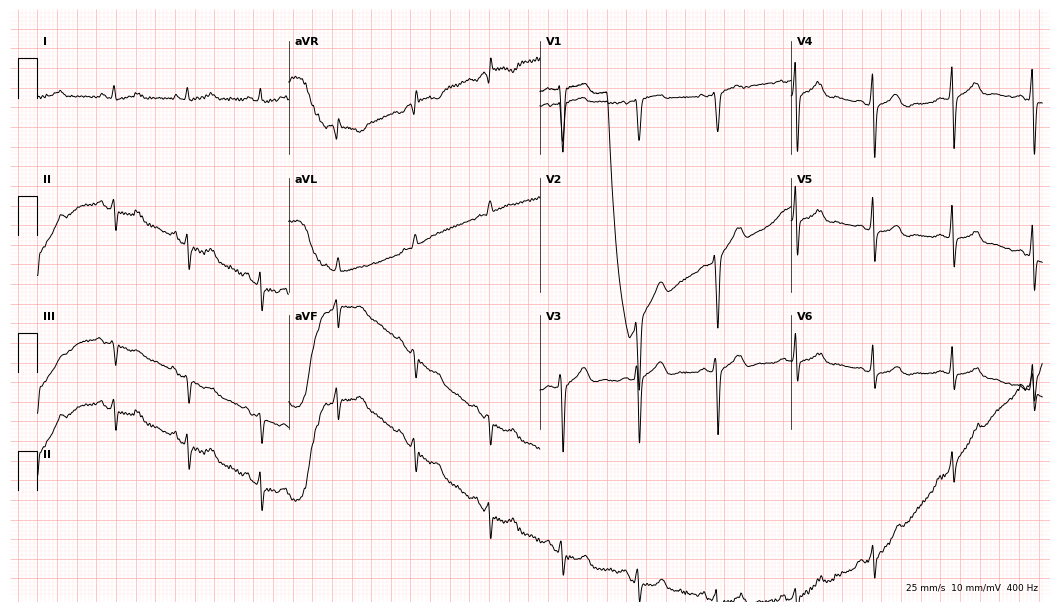
12-lead ECG from a woman, 40 years old (10.2-second recording at 400 Hz). No first-degree AV block, right bundle branch block (RBBB), left bundle branch block (LBBB), sinus bradycardia, atrial fibrillation (AF) or sinus tachycardia recorded for this tracing. Only these six findings were labelled.